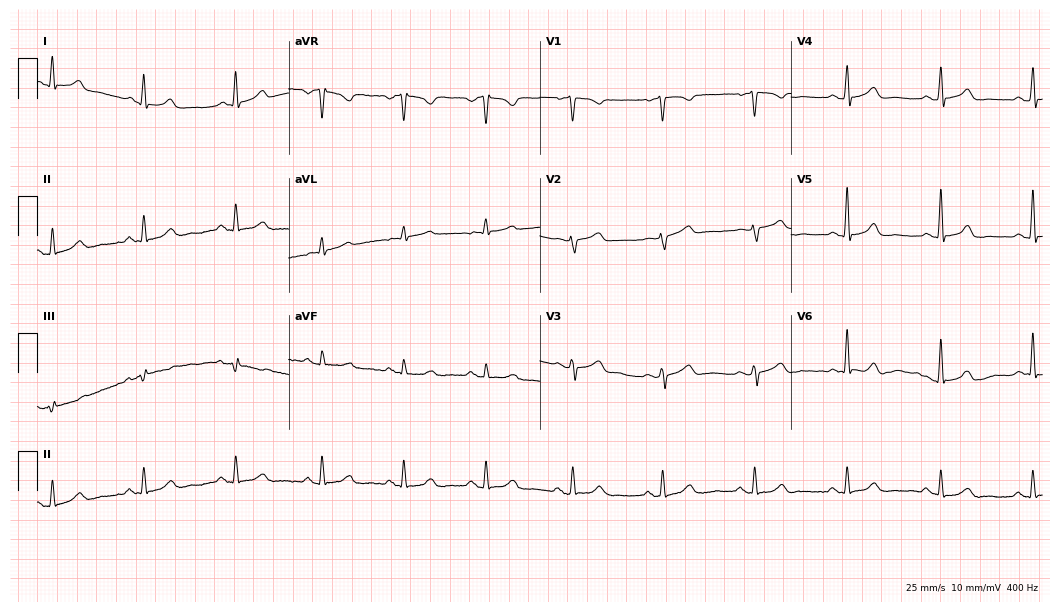
Electrocardiogram, a 60-year-old female patient. Overall reading on record: normal ECG.